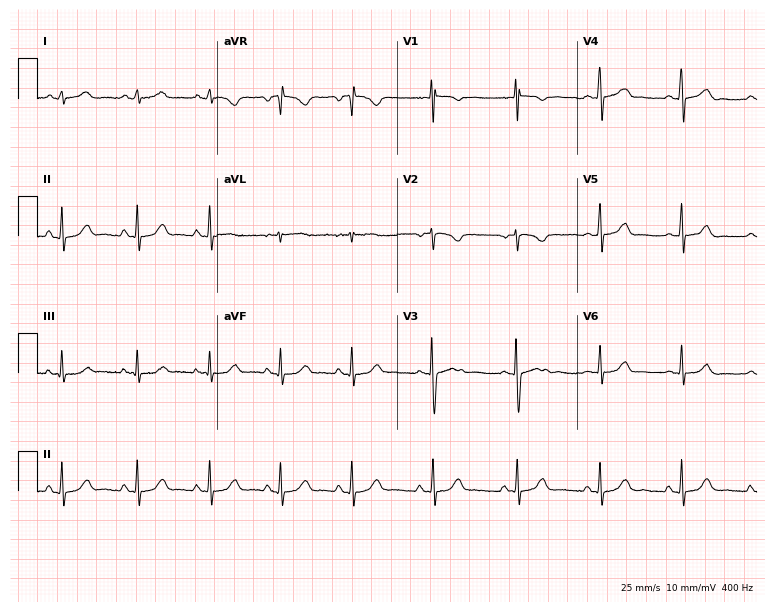
Standard 12-lead ECG recorded from a 27-year-old woman. None of these six findings is recorded: first-degree AV block, right bundle branch block (RBBB), left bundle branch block (LBBB), sinus bradycardia, atrial fibrillation (AF), sinus tachycardia. Findings outside these six are not listed.